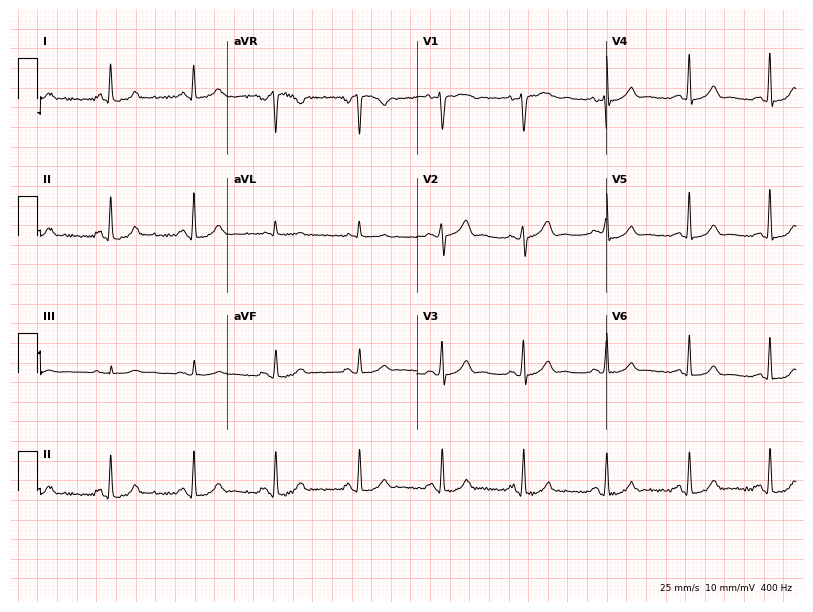
12-lead ECG from a woman, 48 years old (7.7-second recording at 400 Hz). Recorded interpretation: within normal limits.